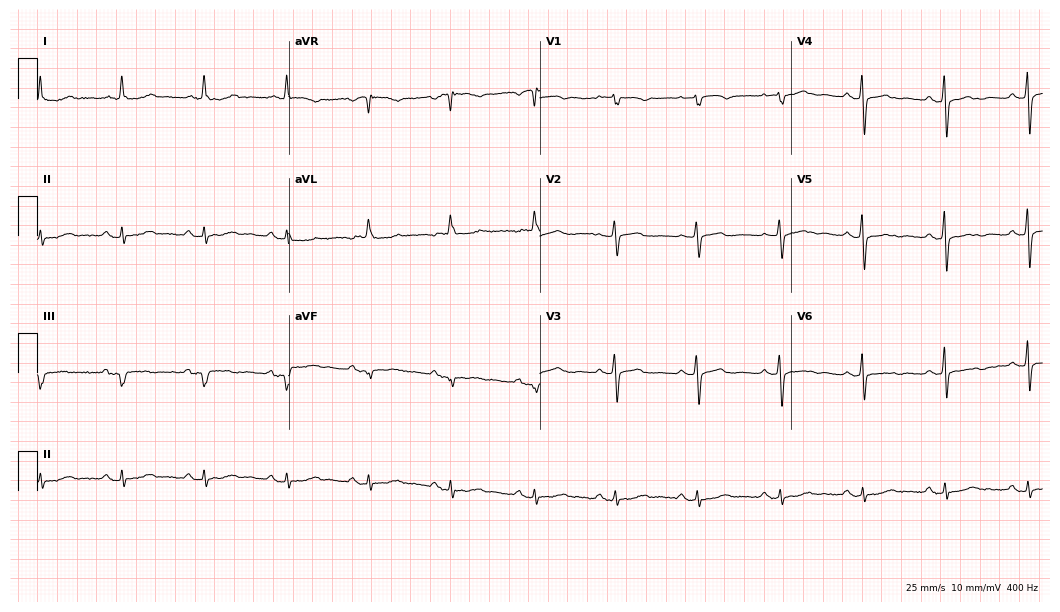
Electrocardiogram, a female, 76 years old. Of the six screened findings (first-degree AV block, right bundle branch block, left bundle branch block, sinus bradycardia, atrial fibrillation, sinus tachycardia), none is recorded.